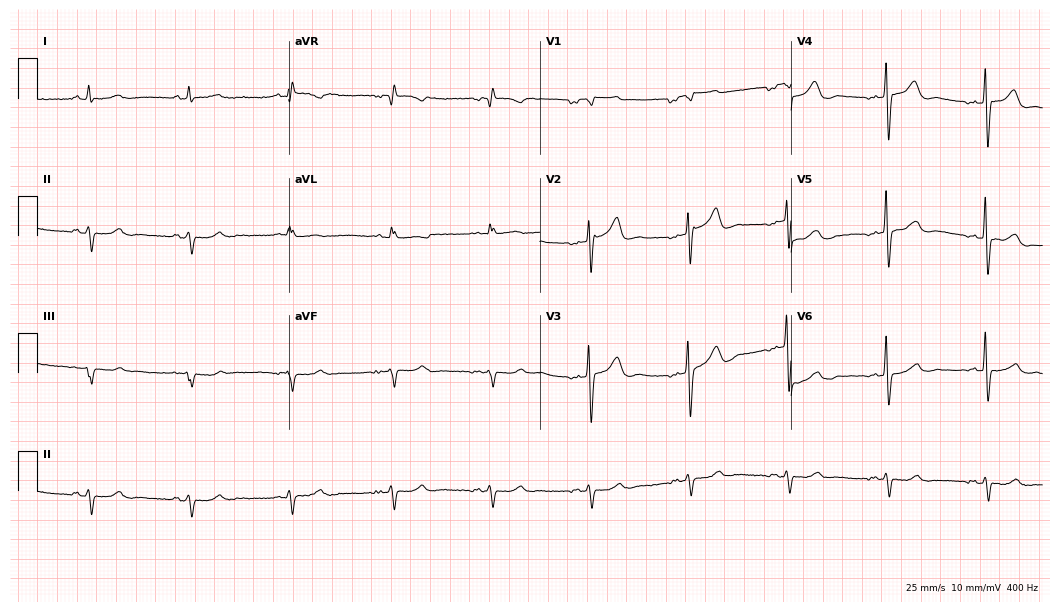
12-lead ECG from a 77-year-old man. Recorded interpretation: within normal limits.